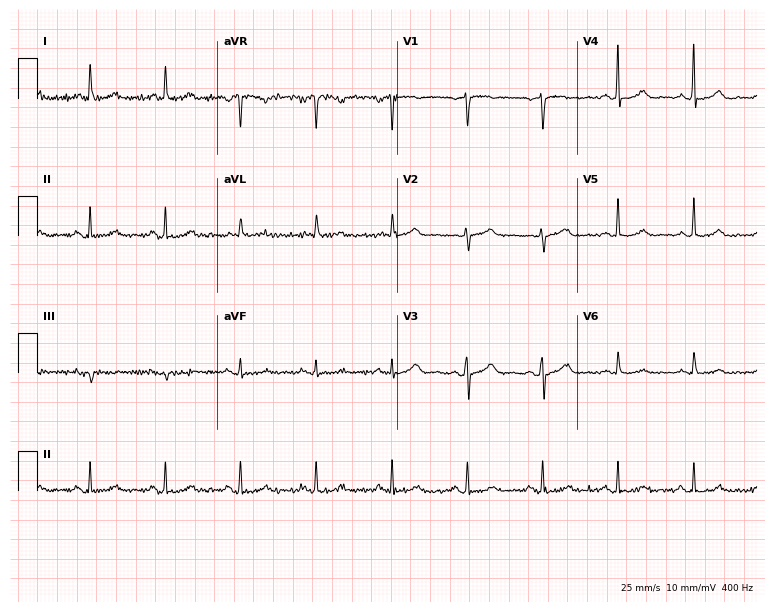
Standard 12-lead ECG recorded from a female patient, 78 years old. Read as a normal ECG.